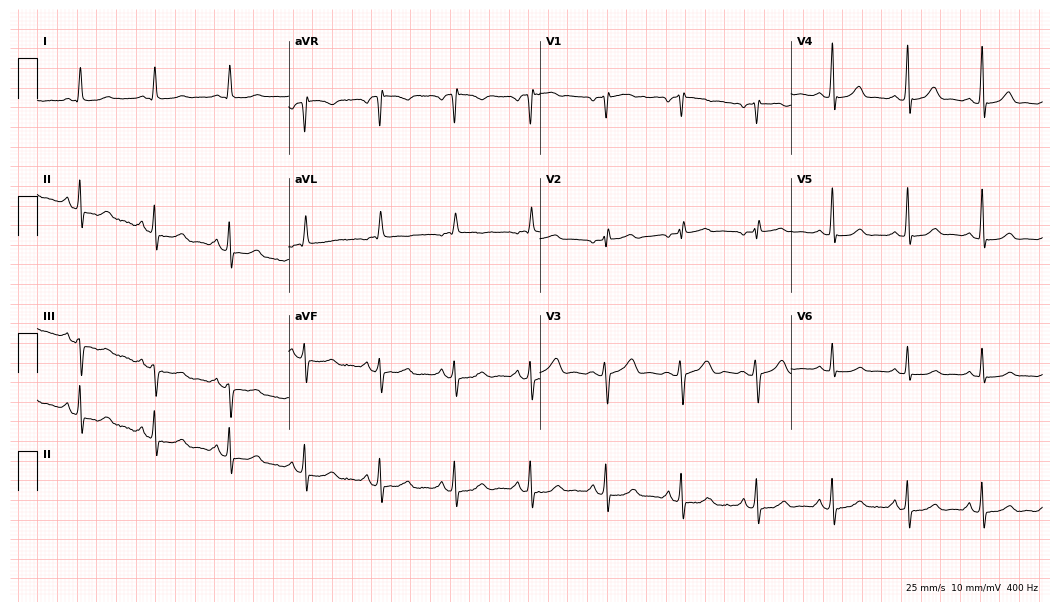
12-lead ECG from a woman, 65 years old. Recorded interpretation: within normal limits.